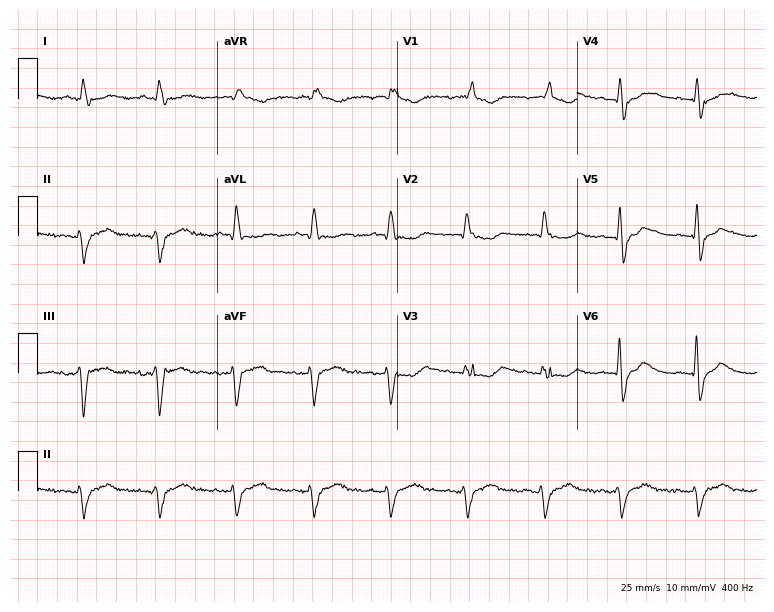
12-lead ECG from a male, 72 years old. Shows right bundle branch block (RBBB).